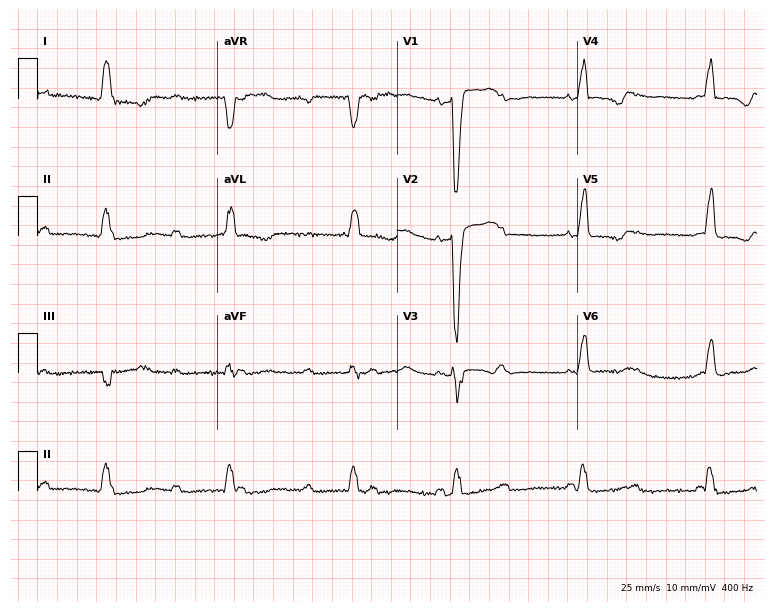
12-lead ECG (7.3-second recording at 400 Hz) from a 69-year-old female patient. Findings include left bundle branch block.